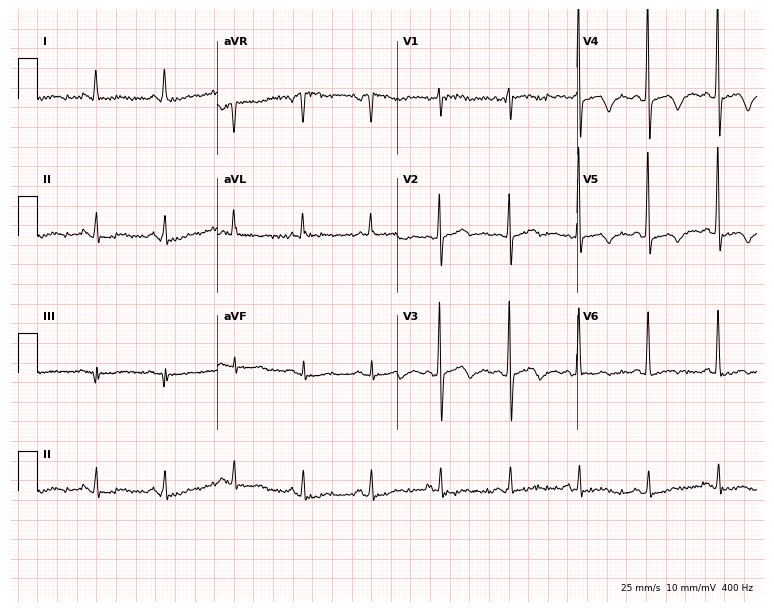
12-lead ECG from a woman, 70 years old. Screened for six findings — first-degree AV block, right bundle branch block, left bundle branch block, sinus bradycardia, atrial fibrillation, sinus tachycardia — none is recorded. Only these six findings were labelled.